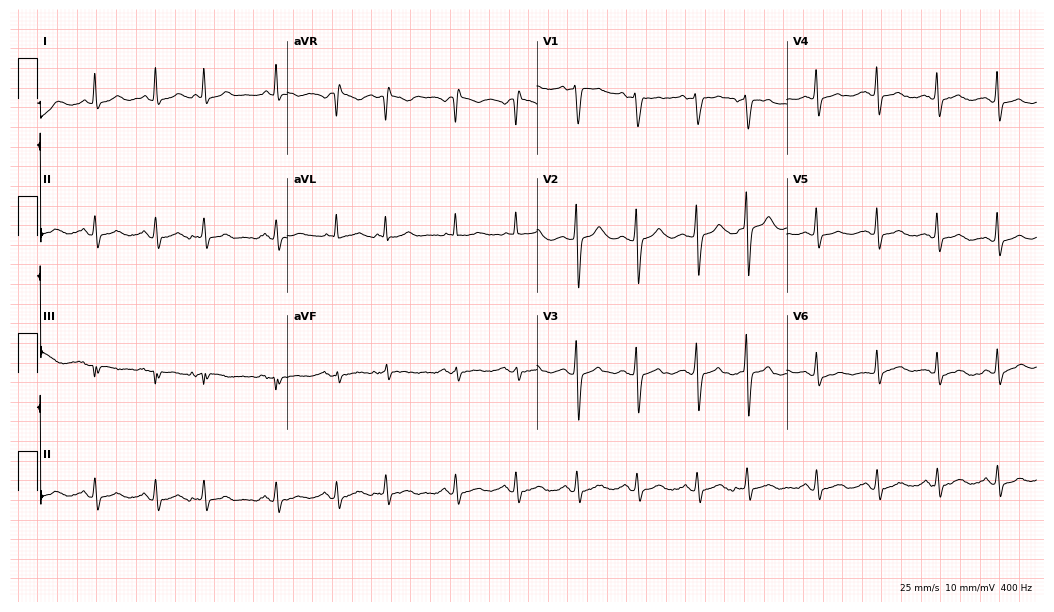
12-lead ECG from a 65-year-old female patient (10.2-second recording at 400 Hz). Recorded interpretation: within normal limits.